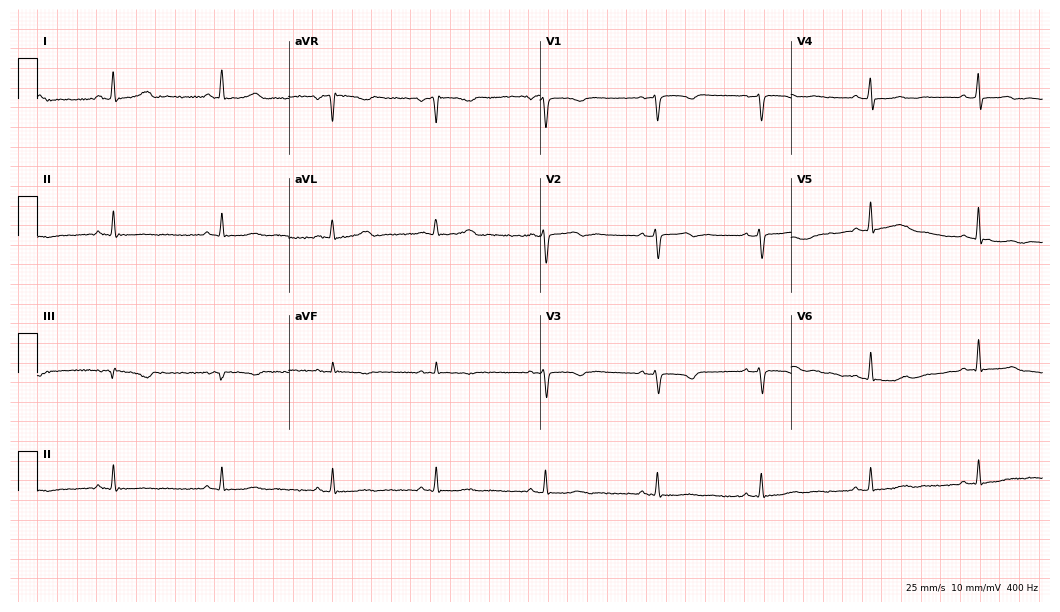
ECG — a 37-year-old female. Screened for six findings — first-degree AV block, right bundle branch block, left bundle branch block, sinus bradycardia, atrial fibrillation, sinus tachycardia — none is recorded.